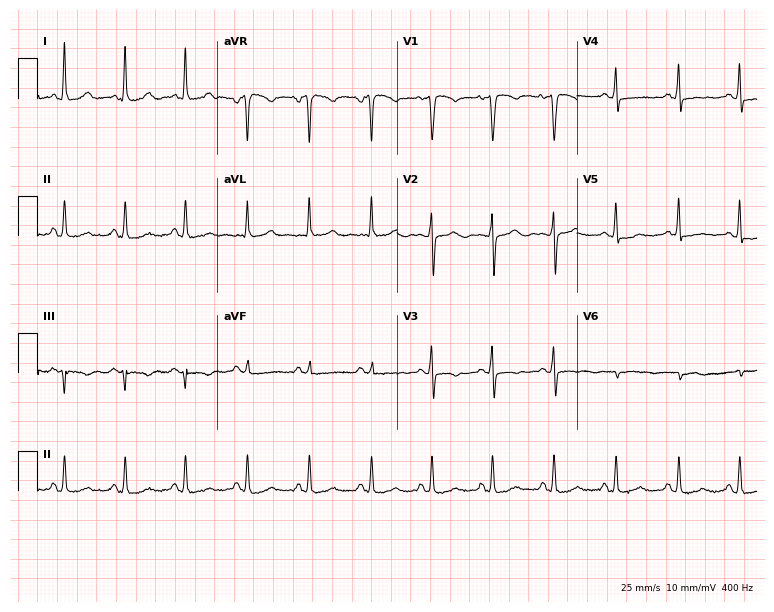
Resting 12-lead electrocardiogram (7.3-second recording at 400 Hz). Patient: a 38-year-old female. None of these six findings is recorded: first-degree AV block, right bundle branch block, left bundle branch block, sinus bradycardia, atrial fibrillation, sinus tachycardia. Other findings, if any, are not listed.